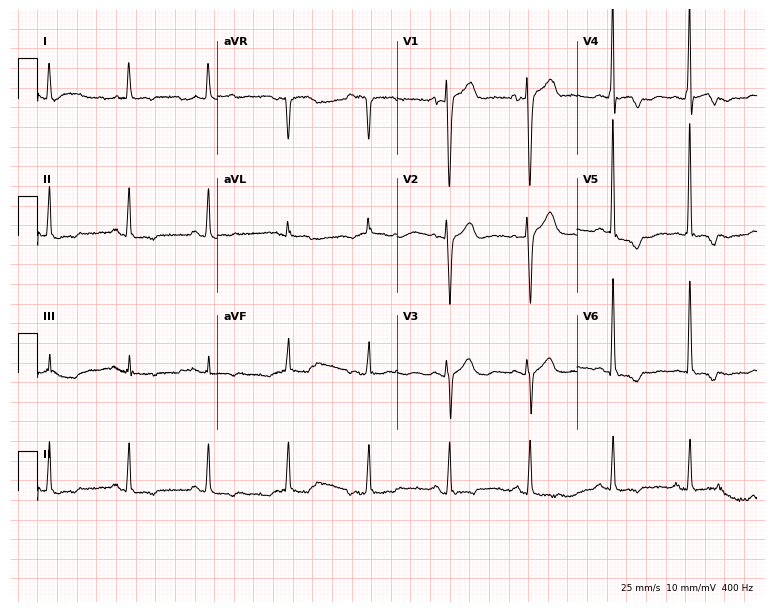
ECG (7.3-second recording at 400 Hz) — a 76-year-old man. Screened for six findings — first-degree AV block, right bundle branch block, left bundle branch block, sinus bradycardia, atrial fibrillation, sinus tachycardia — none is recorded. Only these six findings were labelled.